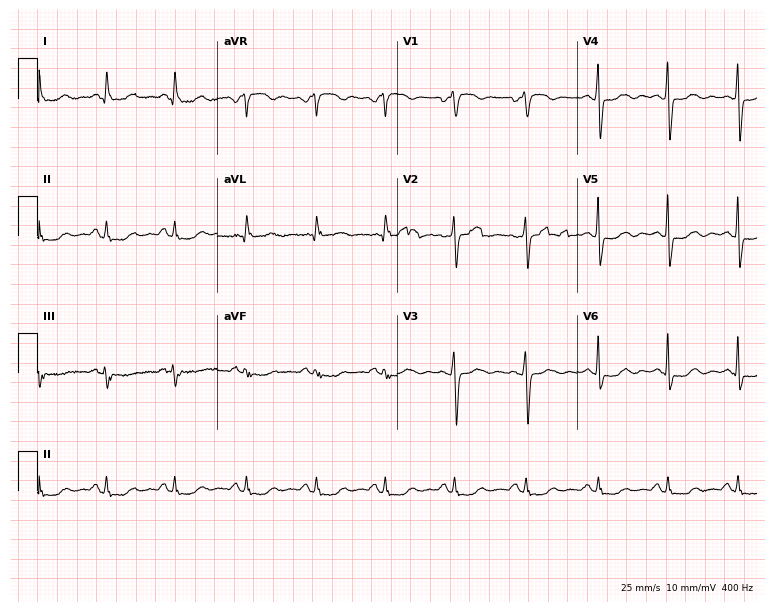
Standard 12-lead ECG recorded from a 52-year-old female (7.3-second recording at 400 Hz). None of these six findings is recorded: first-degree AV block, right bundle branch block (RBBB), left bundle branch block (LBBB), sinus bradycardia, atrial fibrillation (AF), sinus tachycardia.